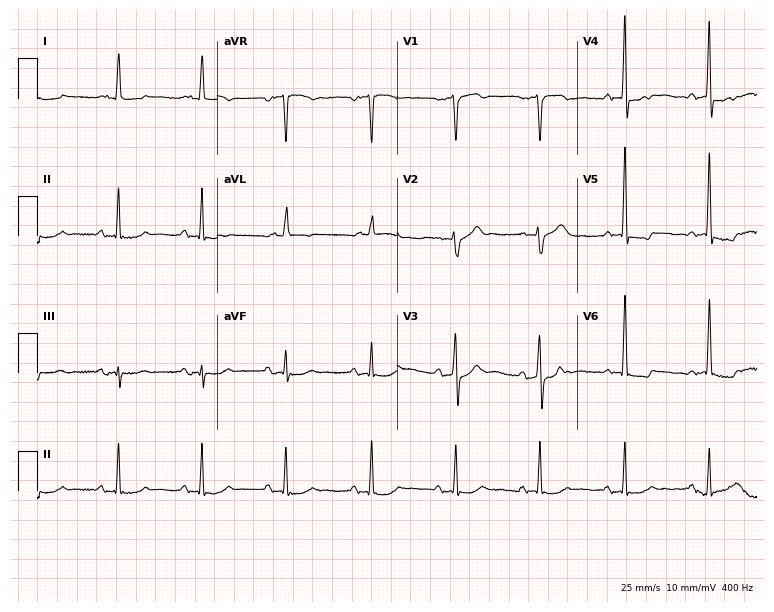
Resting 12-lead electrocardiogram. Patient: a man, 74 years old. None of these six findings is recorded: first-degree AV block, right bundle branch block, left bundle branch block, sinus bradycardia, atrial fibrillation, sinus tachycardia.